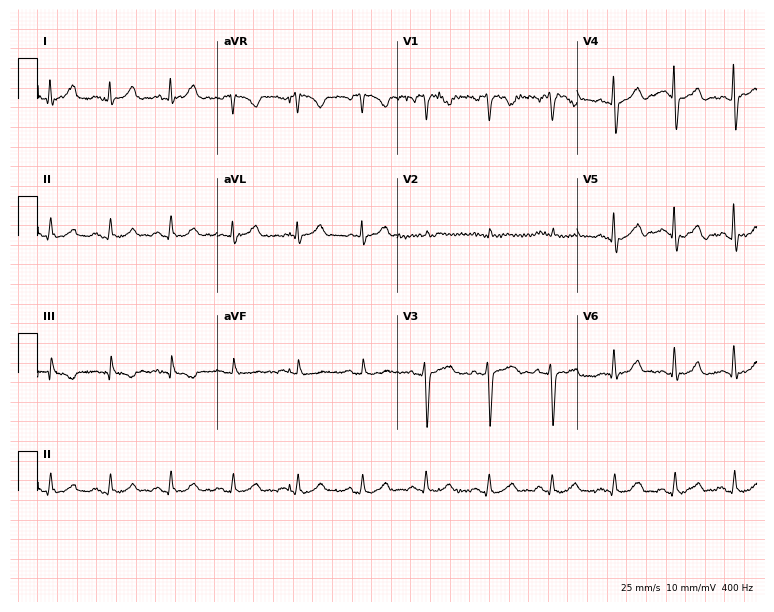
Standard 12-lead ECG recorded from a 45-year-old man. Read as a normal ECG.